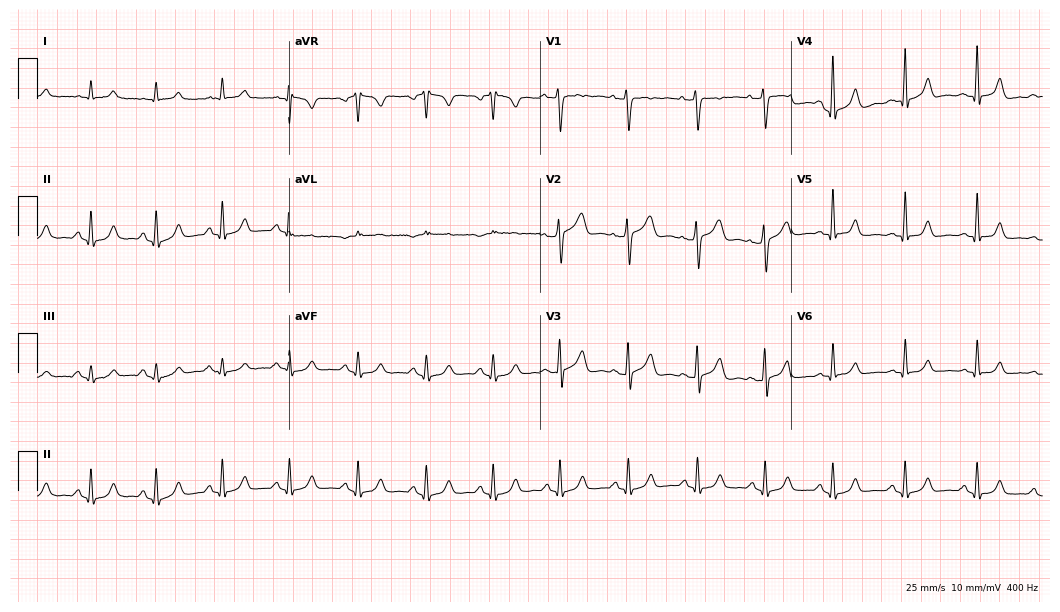
Standard 12-lead ECG recorded from a male patient, 38 years old. None of these six findings is recorded: first-degree AV block, right bundle branch block, left bundle branch block, sinus bradycardia, atrial fibrillation, sinus tachycardia. Only these six findings were labelled.